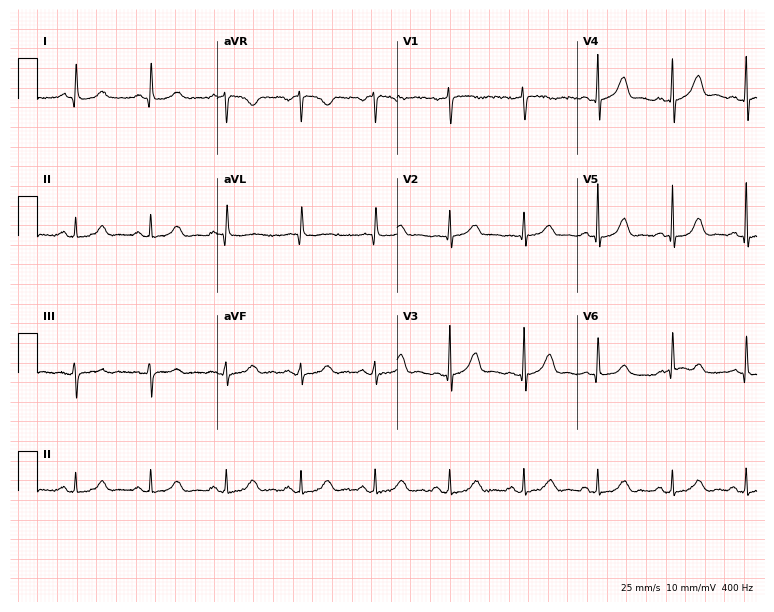
12-lead ECG from a female patient, 71 years old. Labelled as a normal ECG.